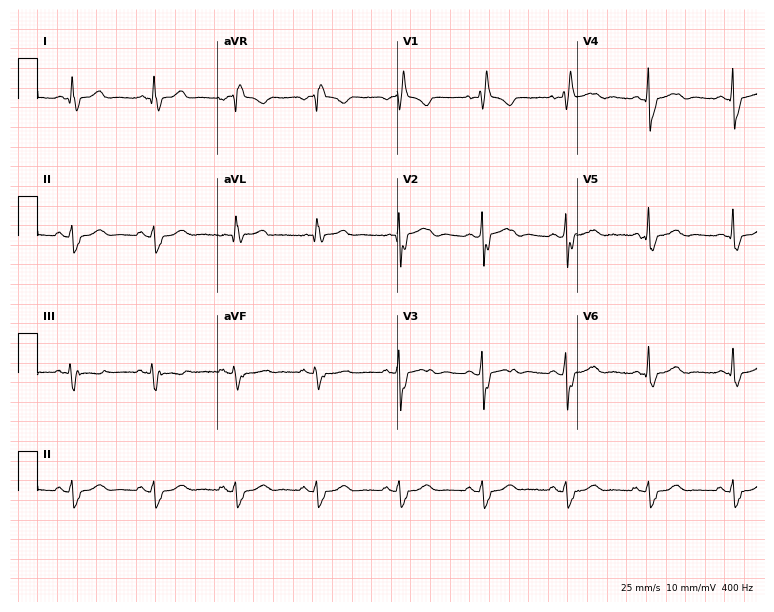
Standard 12-lead ECG recorded from a female, 74 years old. The tracing shows right bundle branch block.